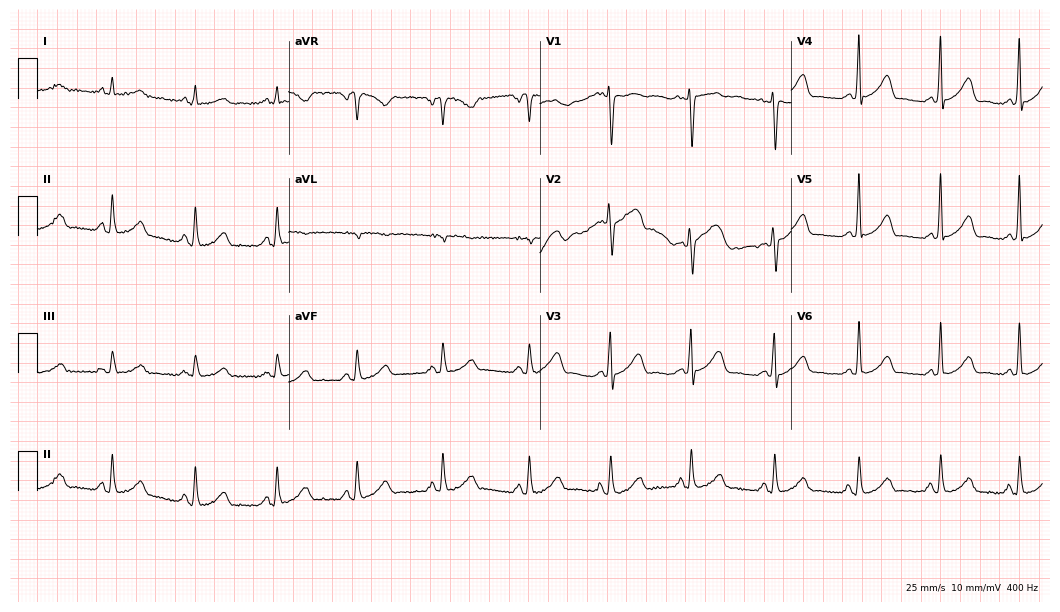
Electrocardiogram, a 32-year-old female patient. Overall reading on record: normal ECG.